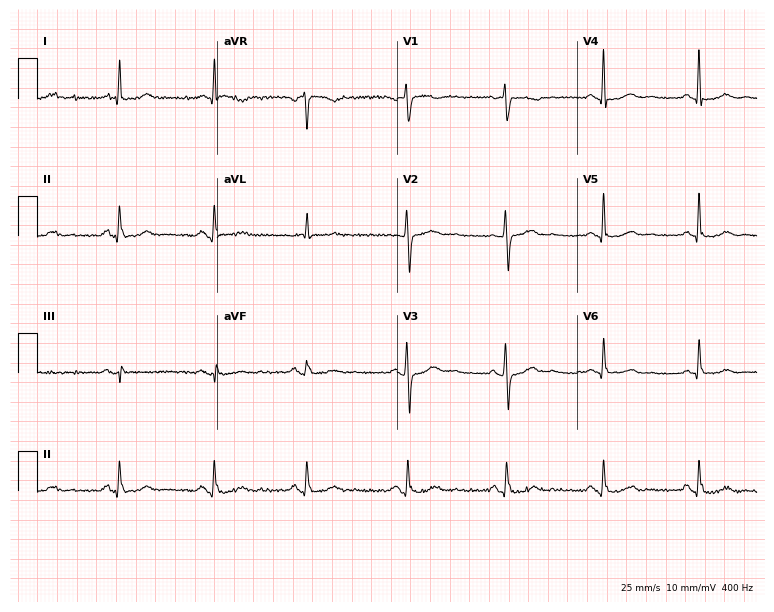
Electrocardiogram (7.3-second recording at 400 Hz), a 64-year-old woman. Overall reading on record: normal ECG.